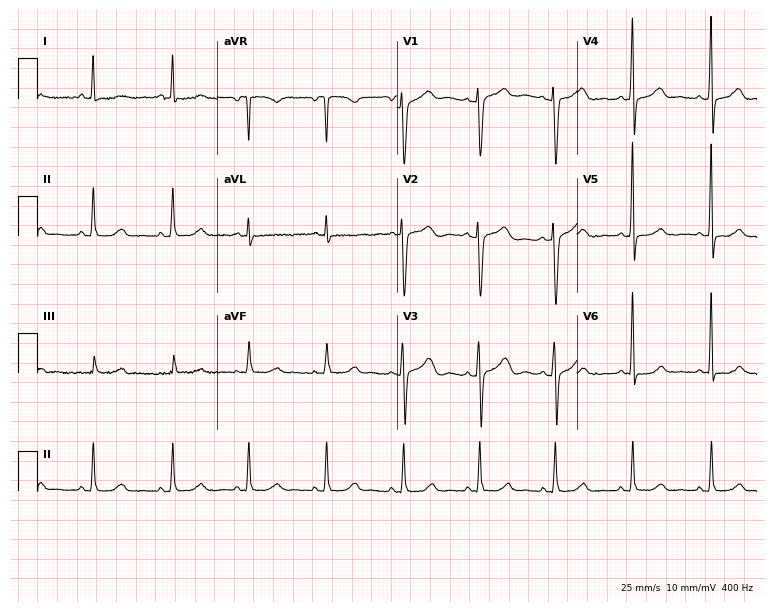
Electrocardiogram, a woman, 39 years old. Overall reading on record: normal ECG.